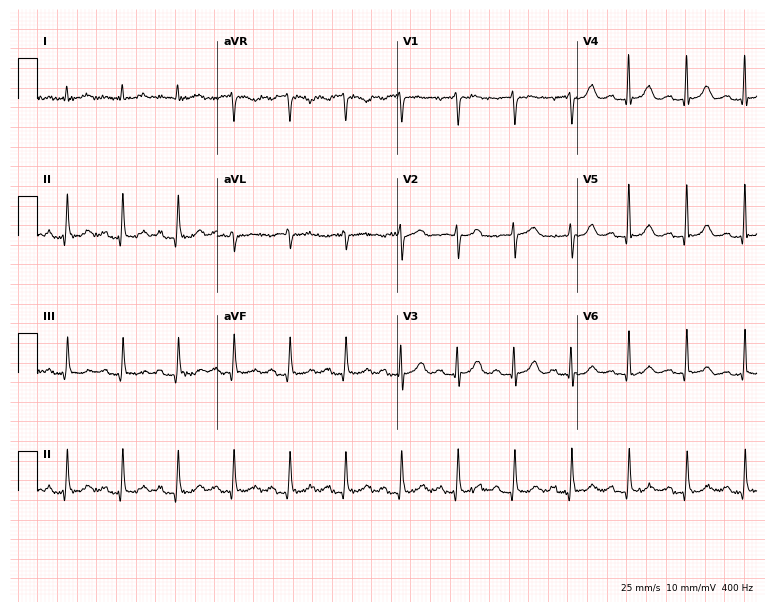
12-lead ECG from a 22-year-old woman. Shows sinus tachycardia (a sinus rate of 100 beats per minute or more).